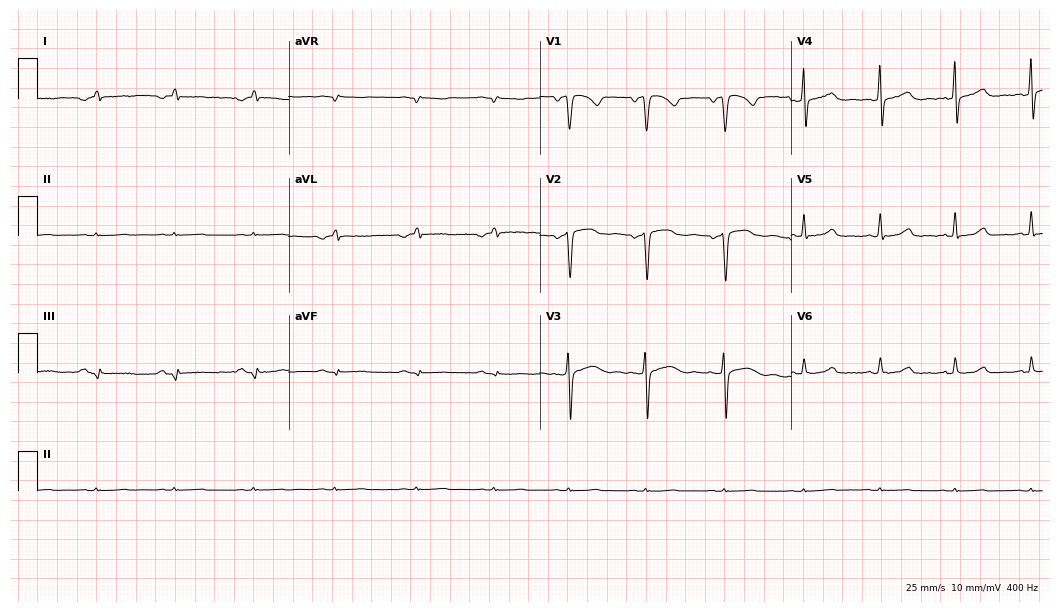
Electrocardiogram, a woman, 52 years old. Of the six screened findings (first-degree AV block, right bundle branch block, left bundle branch block, sinus bradycardia, atrial fibrillation, sinus tachycardia), none is recorded. Other findings, if any, are not listed.